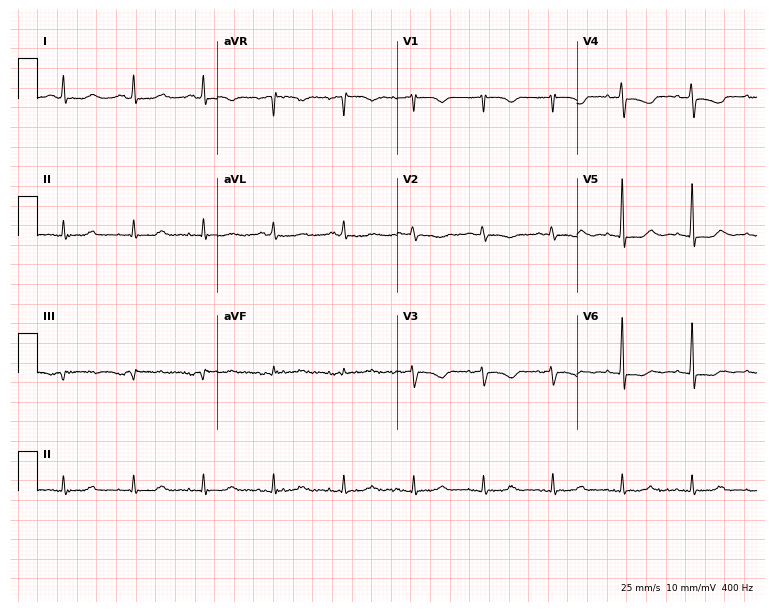
ECG — a 67-year-old male patient. Screened for six findings — first-degree AV block, right bundle branch block (RBBB), left bundle branch block (LBBB), sinus bradycardia, atrial fibrillation (AF), sinus tachycardia — none is recorded. Only these six findings were labelled.